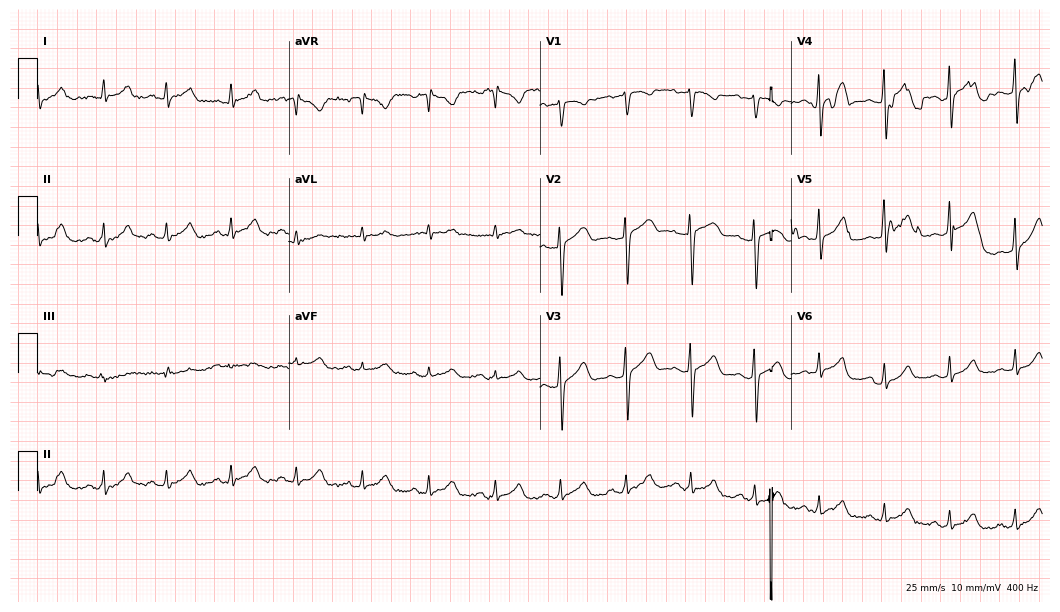
Resting 12-lead electrocardiogram. Patient: a female, 26 years old. None of these six findings is recorded: first-degree AV block, right bundle branch block, left bundle branch block, sinus bradycardia, atrial fibrillation, sinus tachycardia. Only these six findings were labelled.